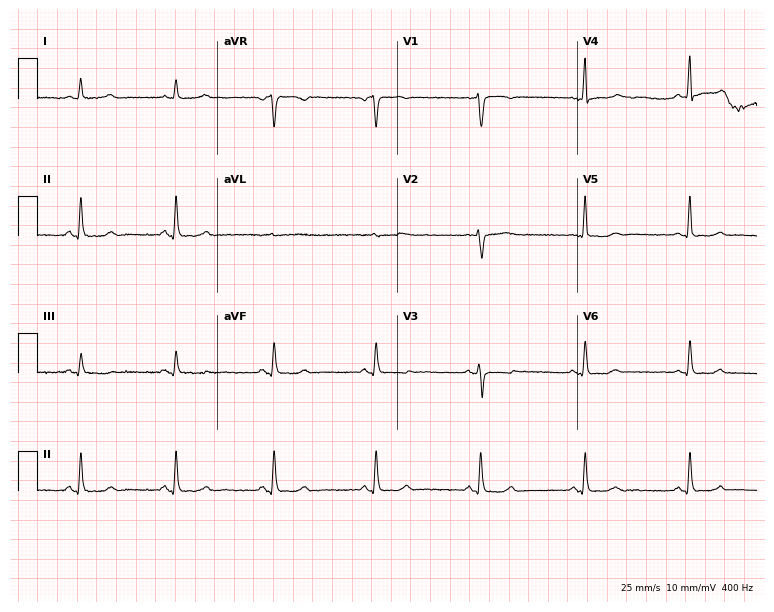
Standard 12-lead ECG recorded from a 49-year-old female. None of these six findings is recorded: first-degree AV block, right bundle branch block, left bundle branch block, sinus bradycardia, atrial fibrillation, sinus tachycardia. Findings outside these six are not listed.